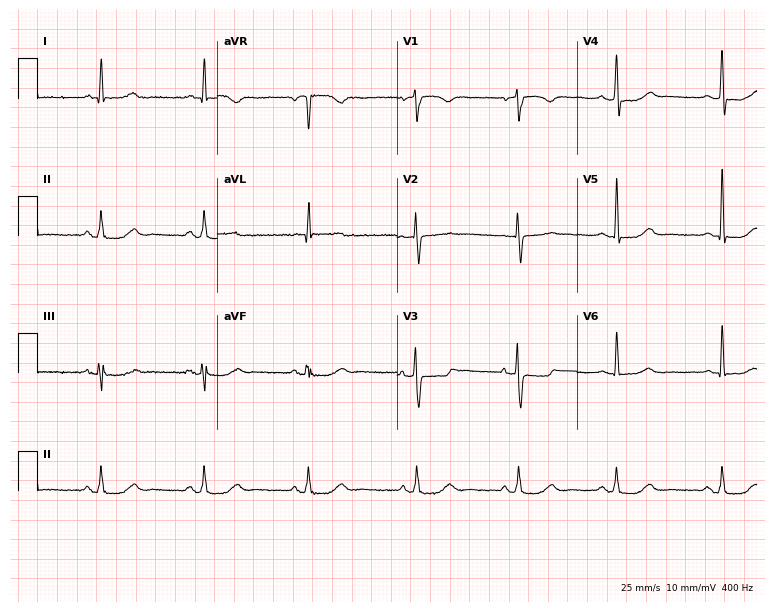
12-lead ECG from a female, 79 years old. No first-degree AV block, right bundle branch block, left bundle branch block, sinus bradycardia, atrial fibrillation or sinus tachycardia recorded for this tracing.